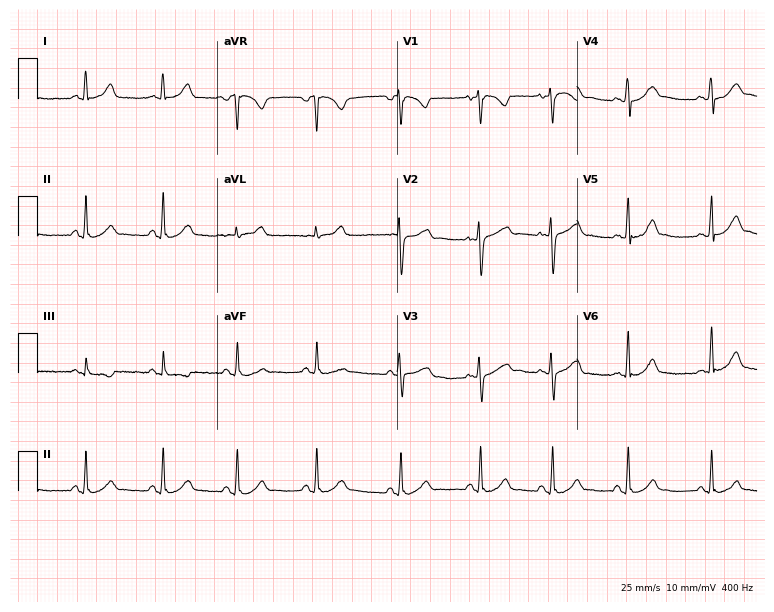
Standard 12-lead ECG recorded from a 21-year-old woman. Read as a normal ECG.